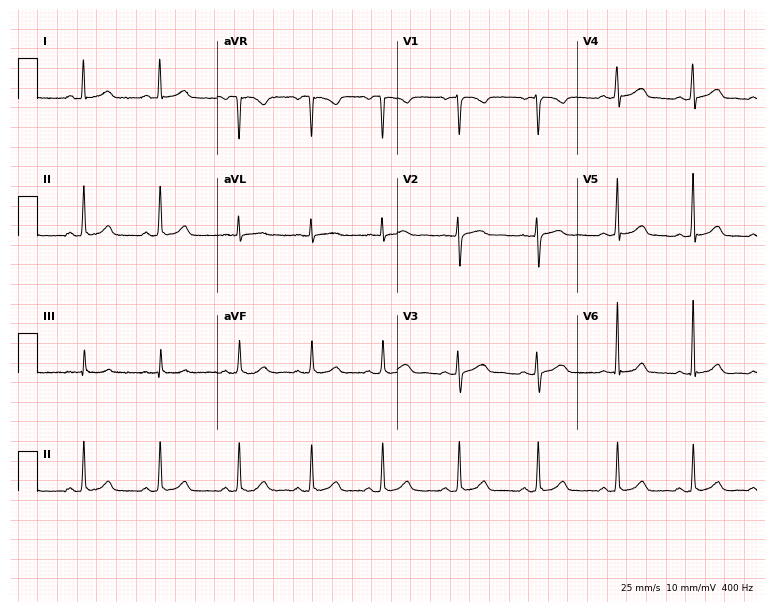
Electrocardiogram (7.3-second recording at 400 Hz), a 22-year-old female patient. Overall reading on record: normal ECG.